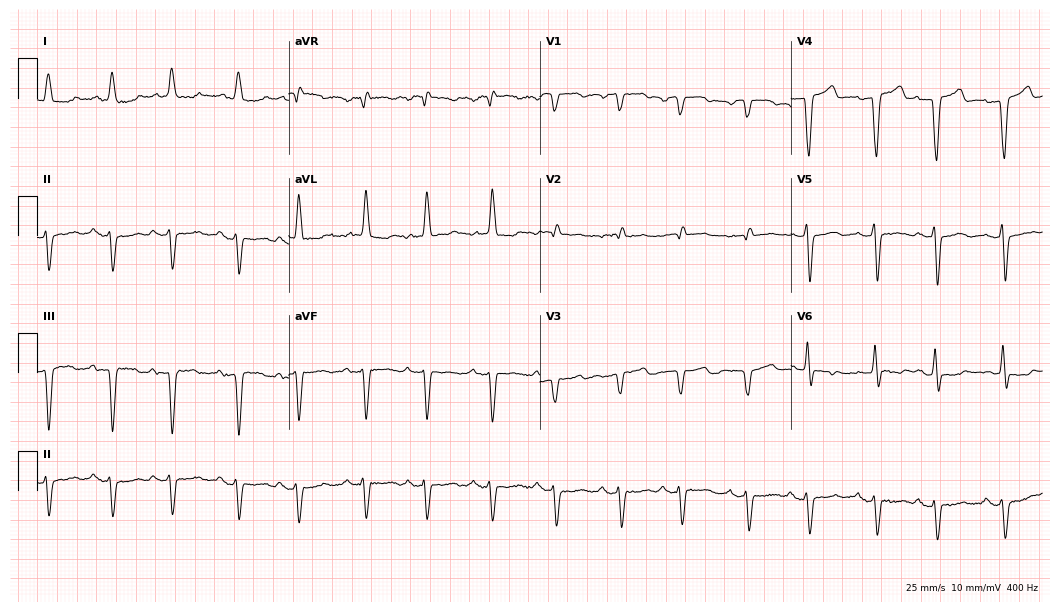
Standard 12-lead ECG recorded from a female, 85 years old. Read as a normal ECG.